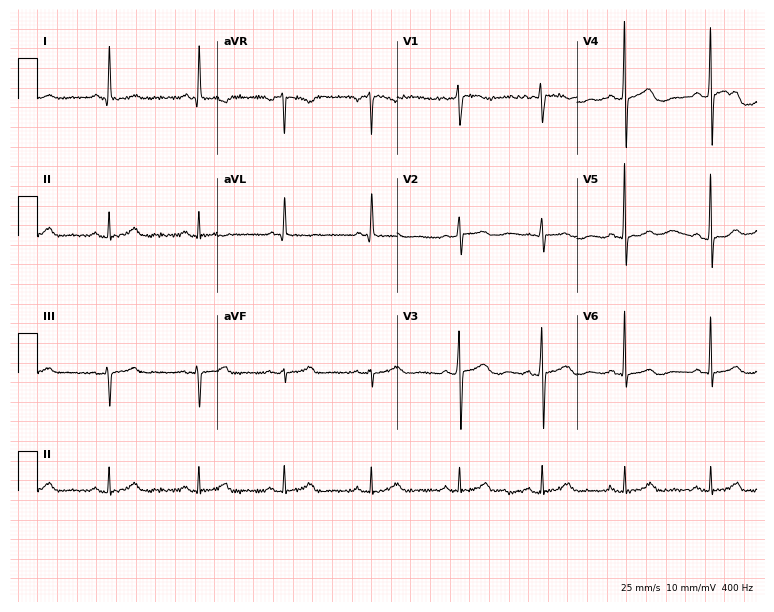
Resting 12-lead electrocardiogram. Patient: a 46-year-old female. Read as a normal ECG.